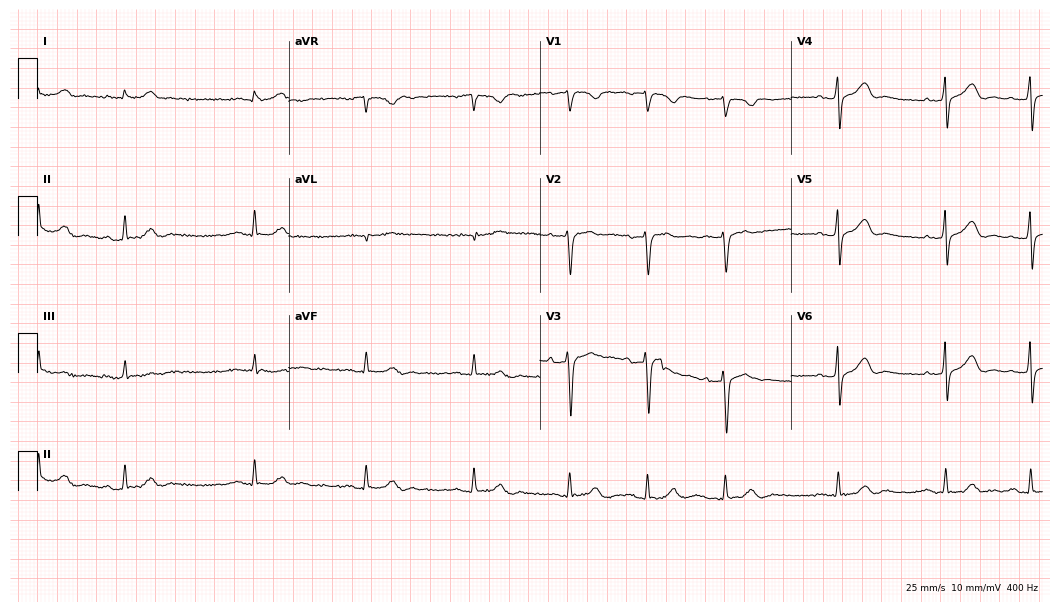
ECG — a 79-year-old male patient. Screened for six findings — first-degree AV block, right bundle branch block, left bundle branch block, sinus bradycardia, atrial fibrillation, sinus tachycardia — none is recorded.